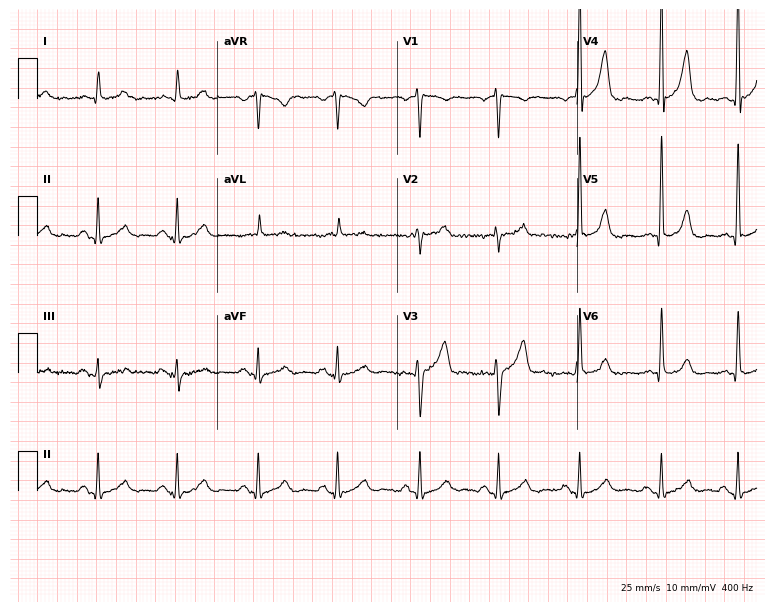
Resting 12-lead electrocardiogram. Patient: a 47-year-old male. Read as a normal ECG.